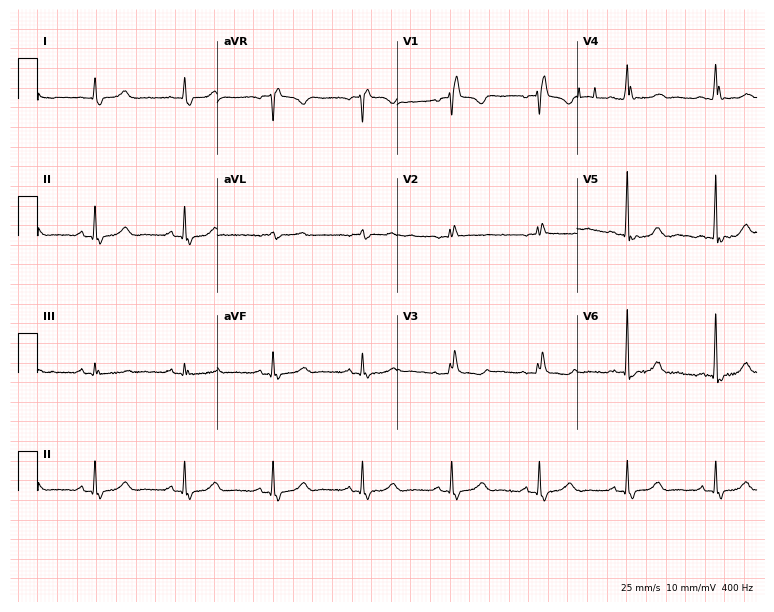
Resting 12-lead electrocardiogram (7.3-second recording at 400 Hz). Patient: a woman, 63 years old. The tracing shows right bundle branch block.